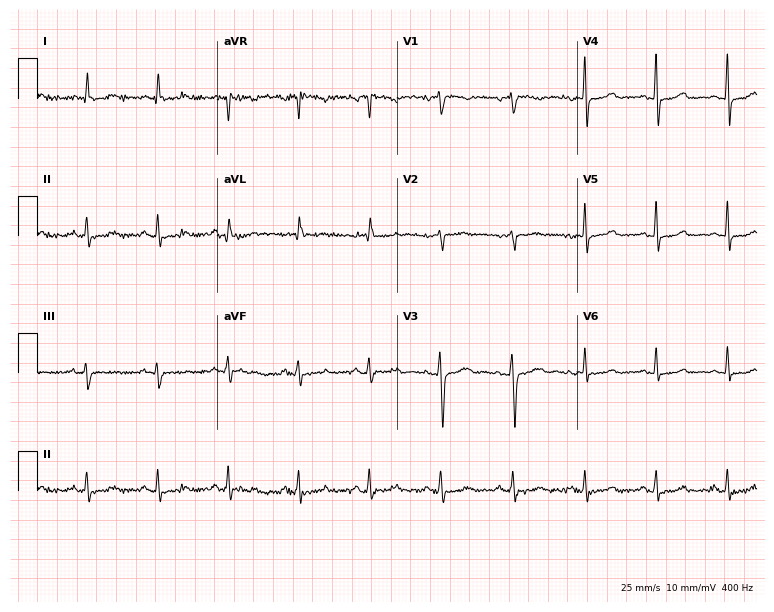
12-lead ECG (7.3-second recording at 400 Hz) from a woman, 48 years old. Labelled as a normal ECG.